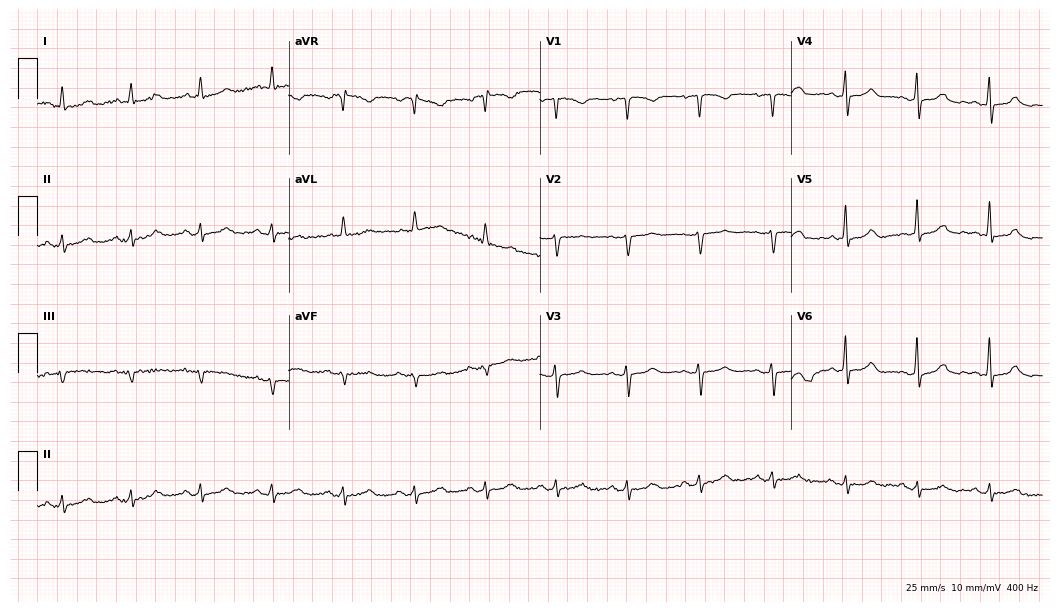
12-lead ECG from a woman, 65 years old. Recorded interpretation: within normal limits.